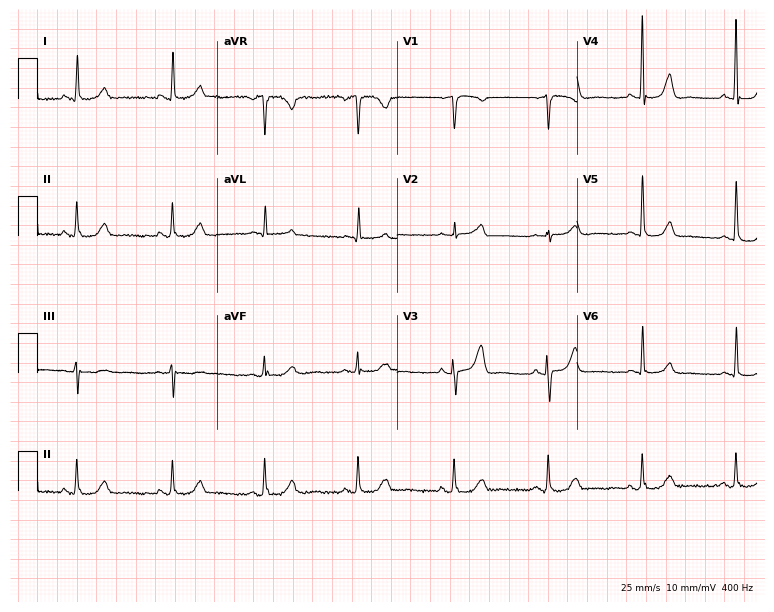
12-lead ECG from a 79-year-old female (7.3-second recording at 400 Hz). Recorded interpretation: within normal limits.